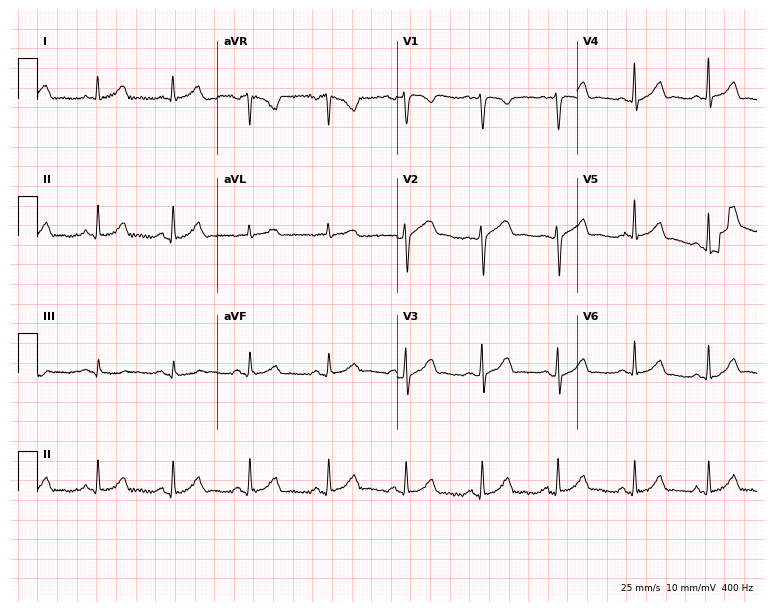
Resting 12-lead electrocardiogram. Patient: a woman, 33 years old. Read as a normal ECG.